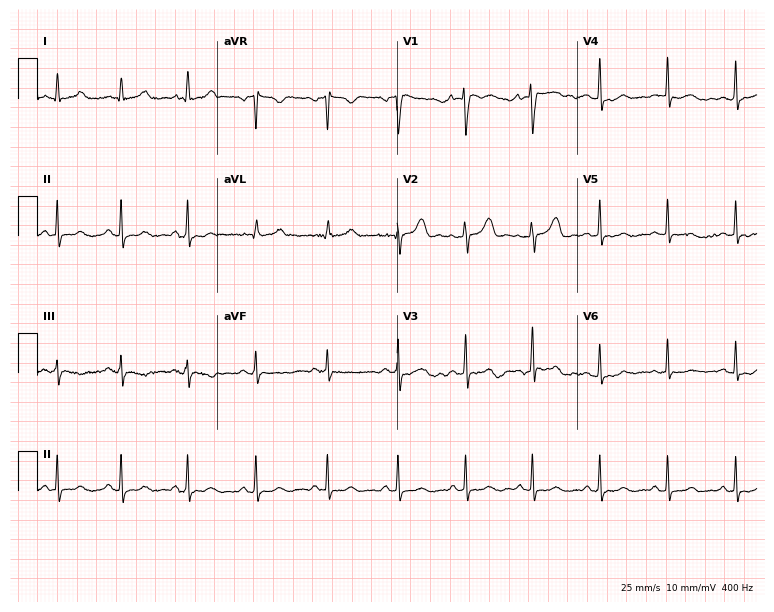
Electrocardiogram, a 37-year-old female. Of the six screened findings (first-degree AV block, right bundle branch block (RBBB), left bundle branch block (LBBB), sinus bradycardia, atrial fibrillation (AF), sinus tachycardia), none is recorded.